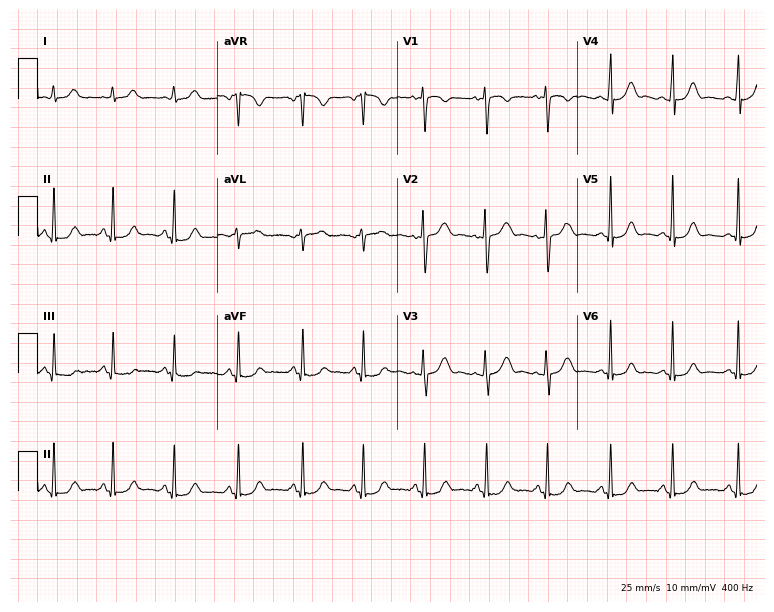
12-lead ECG from a 21-year-old female. Screened for six findings — first-degree AV block, right bundle branch block, left bundle branch block, sinus bradycardia, atrial fibrillation, sinus tachycardia — none is recorded.